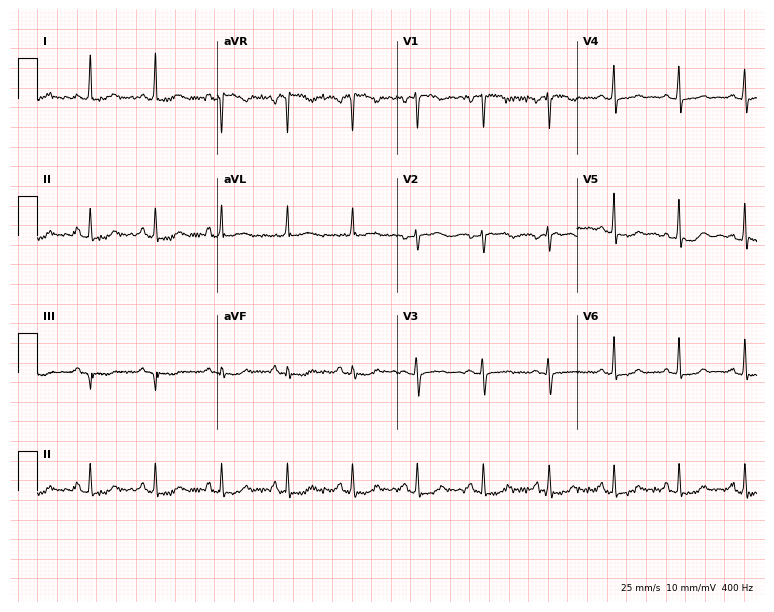
12-lead ECG from a female patient, 43 years old (7.3-second recording at 400 Hz). No first-degree AV block, right bundle branch block (RBBB), left bundle branch block (LBBB), sinus bradycardia, atrial fibrillation (AF) or sinus tachycardia recorded for this tracing.